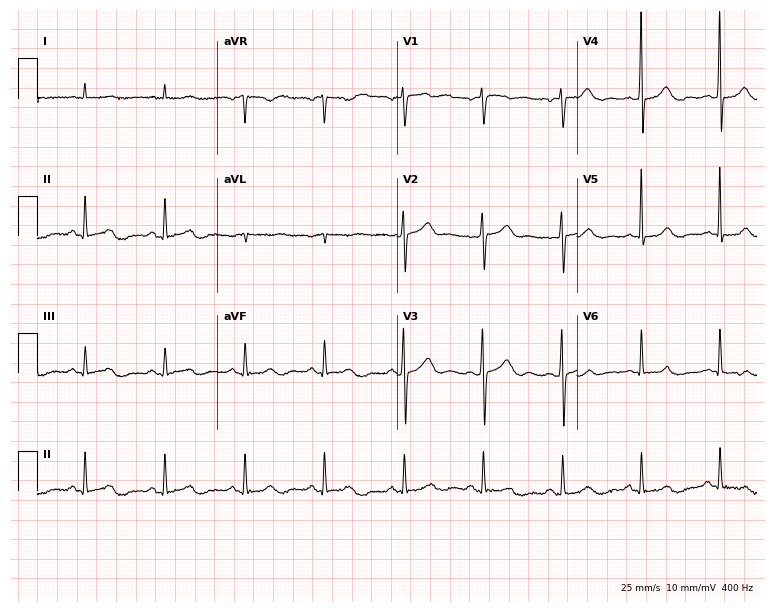
Resting 12-lead electrocardiogram (7.3-second recording at 400 Hz). Patient: a 64-year-old man. Read as a normal ECG.